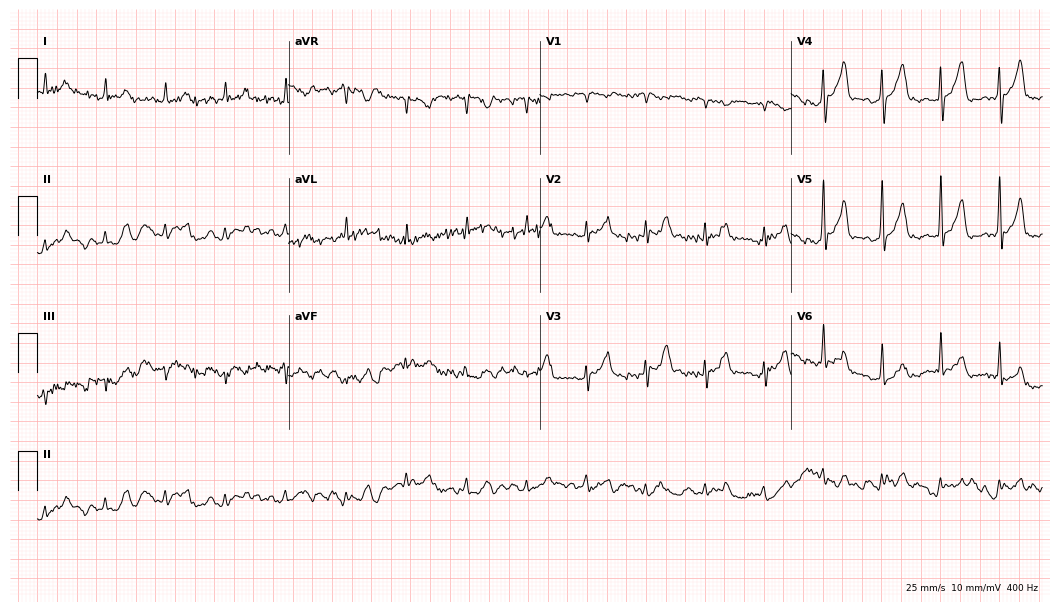
Resting 12-lead electrocardiogram. Patient: a male, 33 years old. None of these six findings is recorded: first-degree AV block, right bundle branch block (RBBB), left bundle branch block (LBBB), sinus bradycardia, atrial fibrillation (AF), sinus tachycardia.